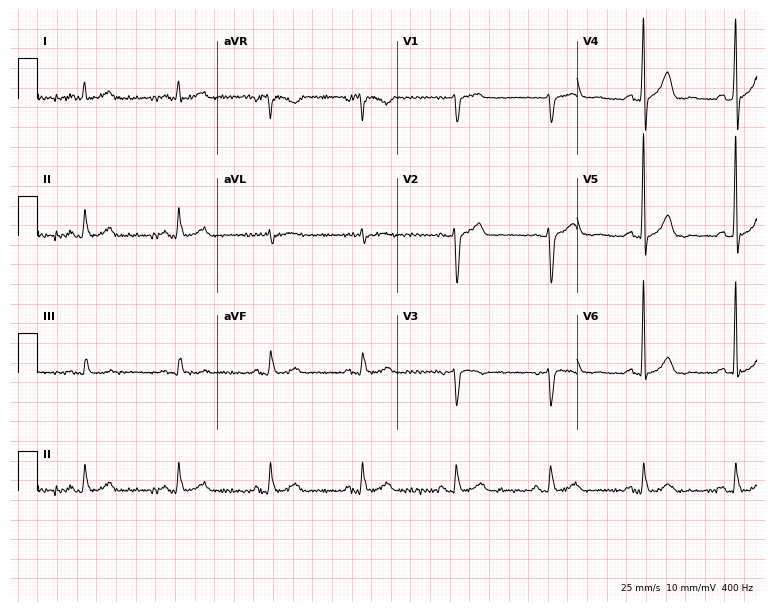
12-lead ECG from a 74-year-old man. Labelled as a normal ECG.